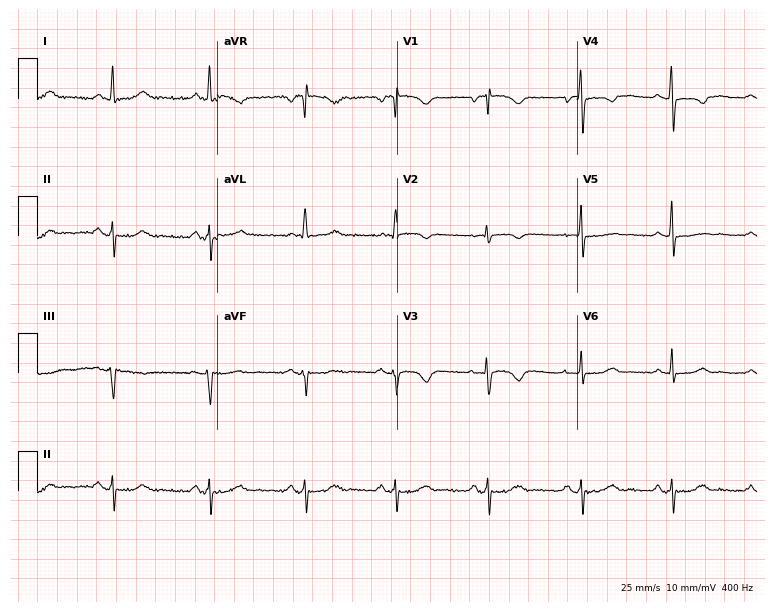
12-lead ECG from a 58-year-old female. Screened for six findings — first-degree AV block, right bundle branch block, left bundle branch block, sinus bradycardia, atrial fibrillation, sinus tachycardia — none is recorded.